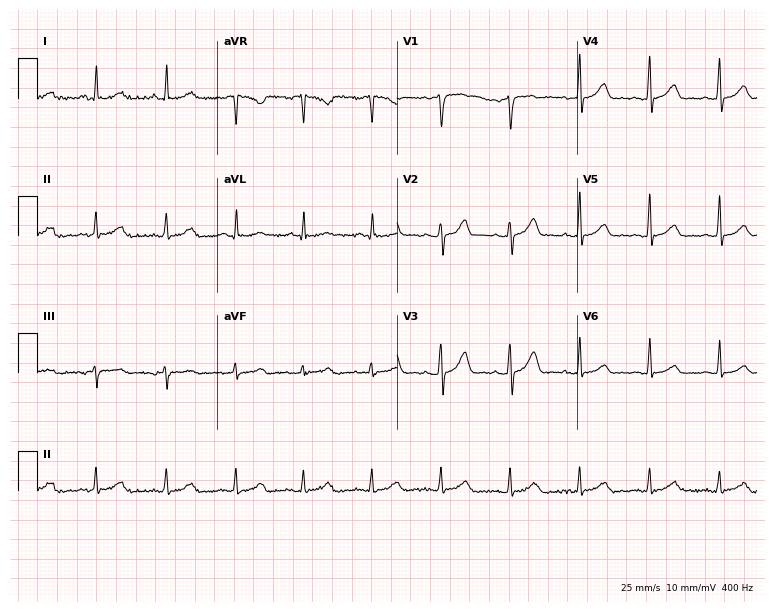
12-lead ECG from a male patient, 41 years old. Labelled as a normal ECG.